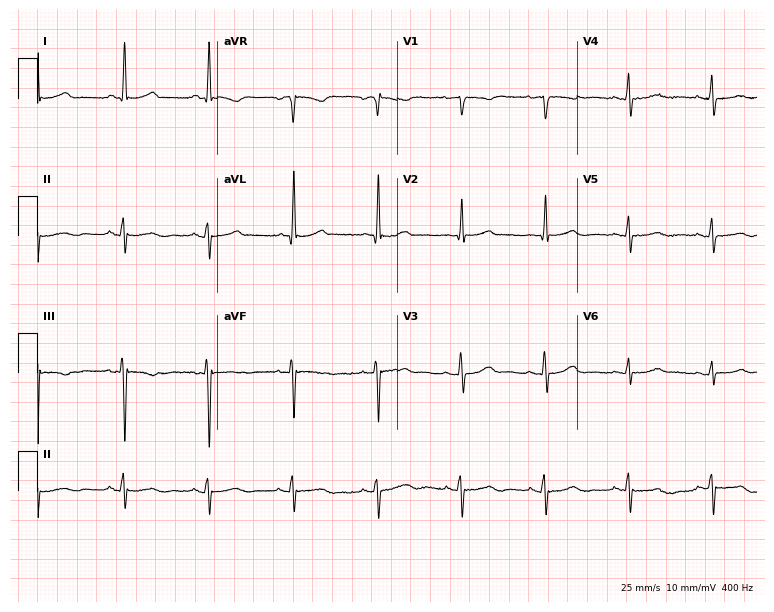
Standard 12-lead ECG recorded from a woman, 62 years old. None of these six findings is recorded: first-degree AV block, right bundle branch block (RBBB), left bundle branch block (LBBB), sinus bradycardia, atrial fibrillation (AF), sinus tachycardia. Only these six findings were labelled.